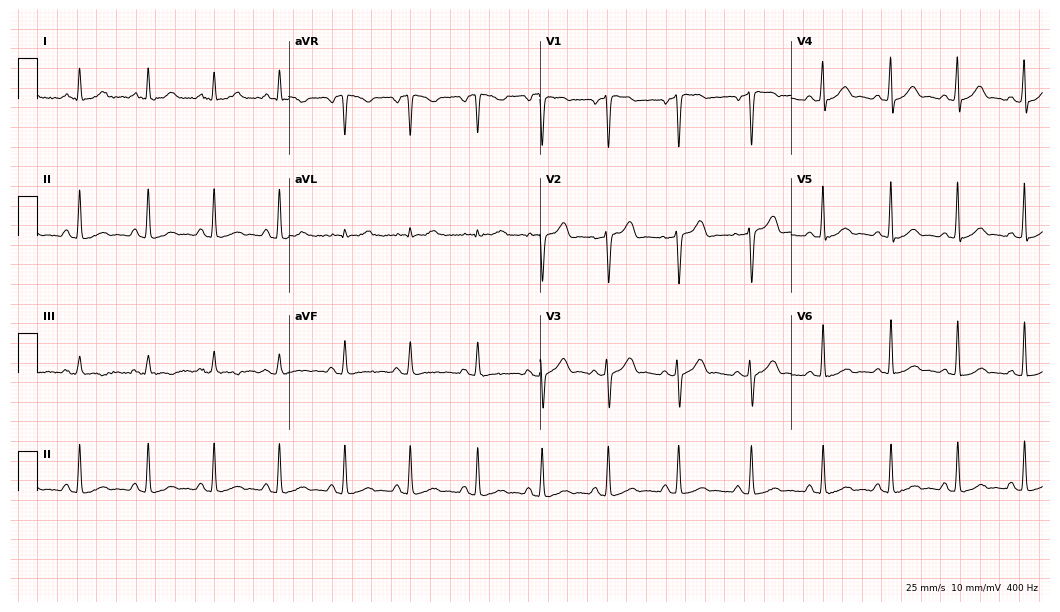
12-lead ECG from a 25-year-old female (10.2-second recording at 400 Hz). Recorded interpretation: within normal limits.